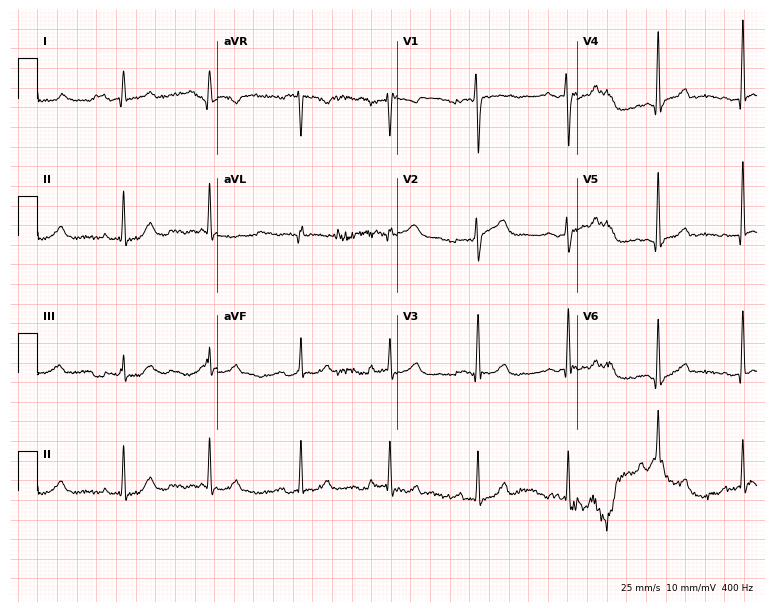
12-lead ECG from a female patient, 37 years old (7.3-second recording at 400 Hz). Recorded interpretation: within normal limits.